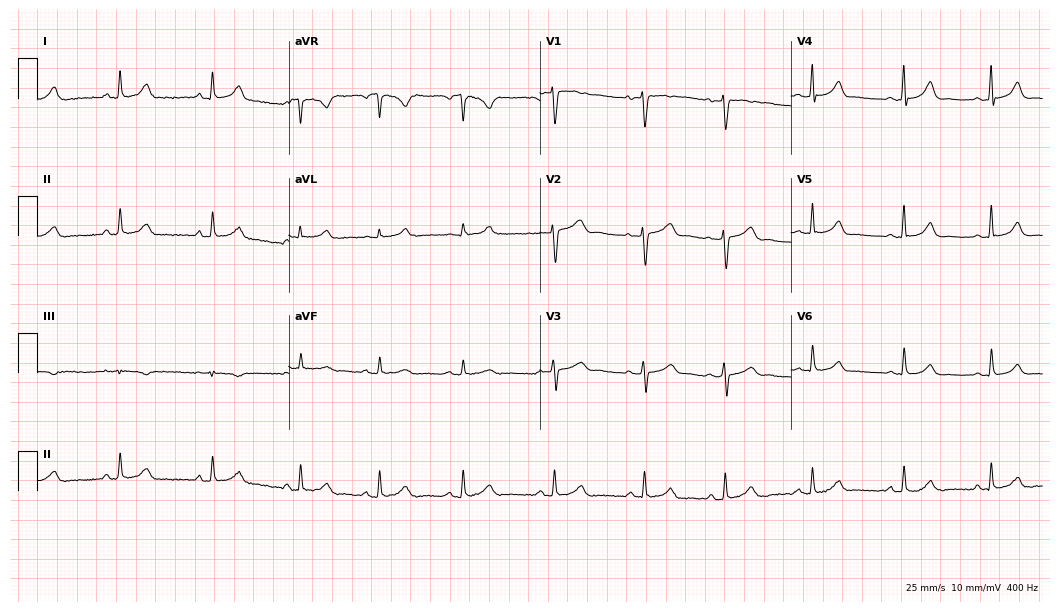
Standard 12-lead ECG recorded from a female, 29 years old. Read as a normal ECG.